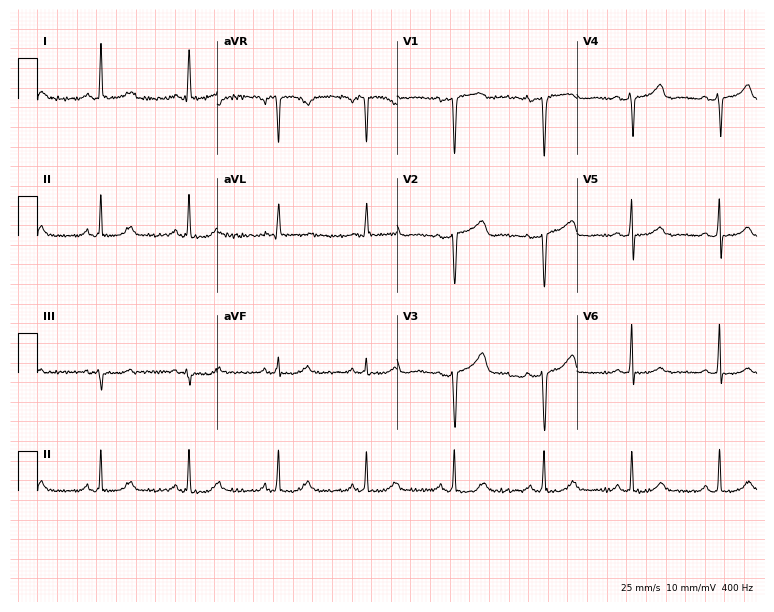
Electrocardiogram, a woman, 53 years old. Of the six screened findings (first-degree AV block, right bundle branch block (RBBB), left bundle branch block (LBBB), sinus bradycardia, atrial fibrillation (AF), sinus tachycardia), none is recorded. Findings outside these six are not listed.